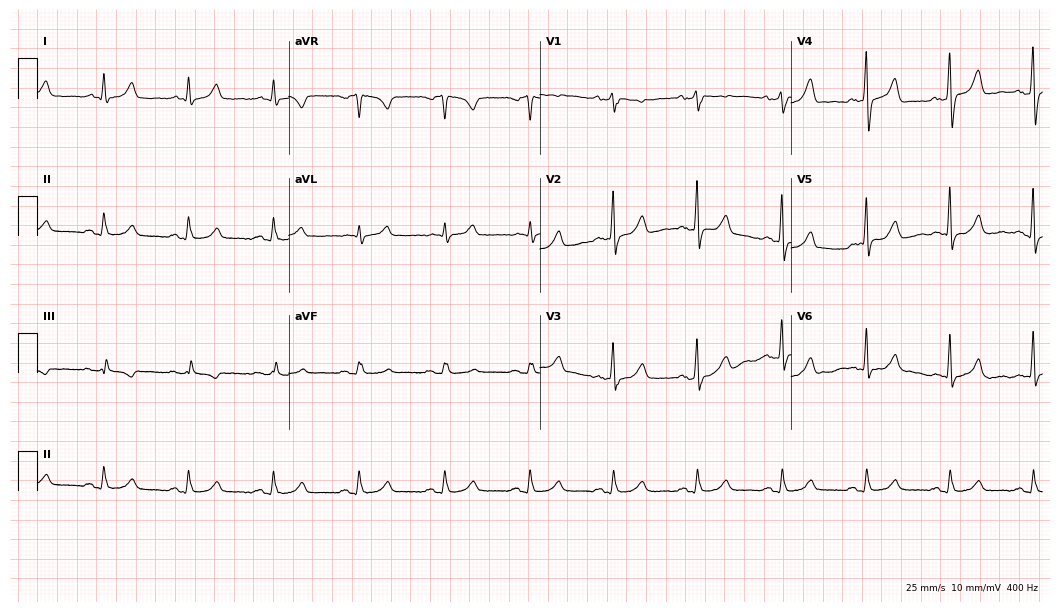
12-lead ECG from a male, 62 years old. Labelled as a normal ECG.